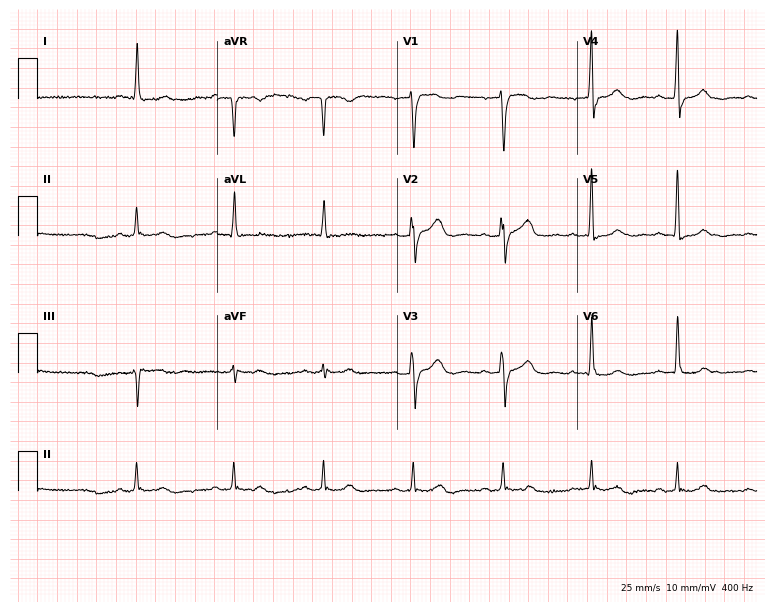
12-lead ECG from an 82-year-old woman. Labelled as a normal ECG.